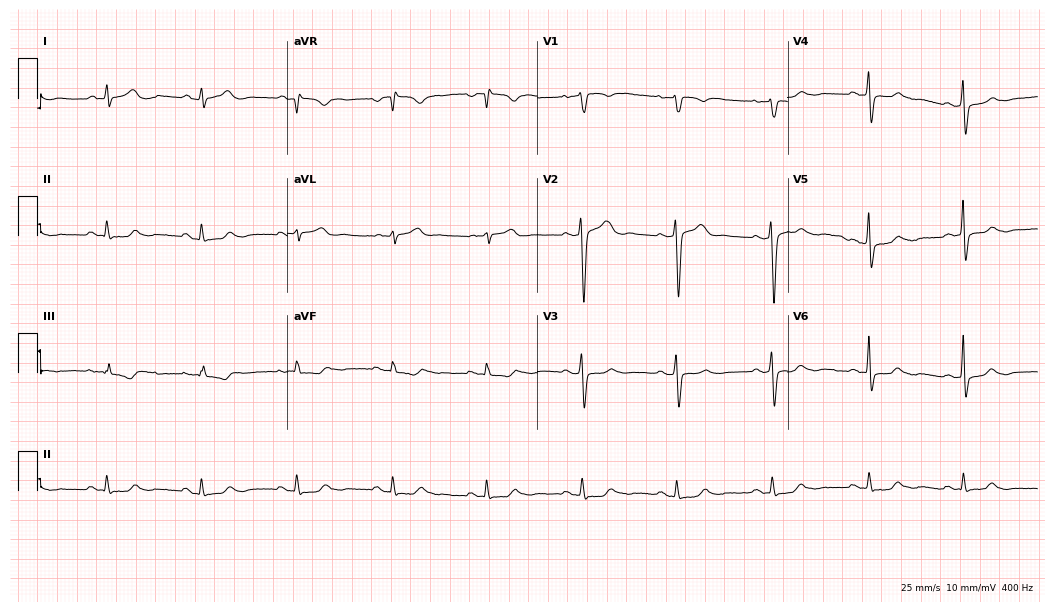
Resting 12-lead electrocardiogram. Patient: a 65-year-old man. Read as a normal ECG.